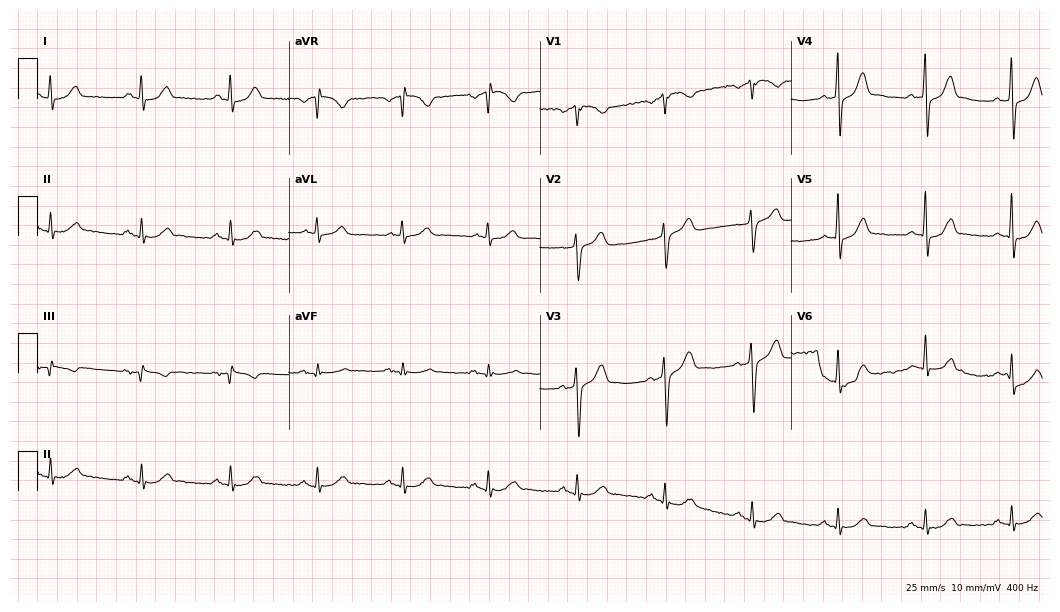
12-lead ECG from a 61-year-old man. Labelled as a normal ECG.